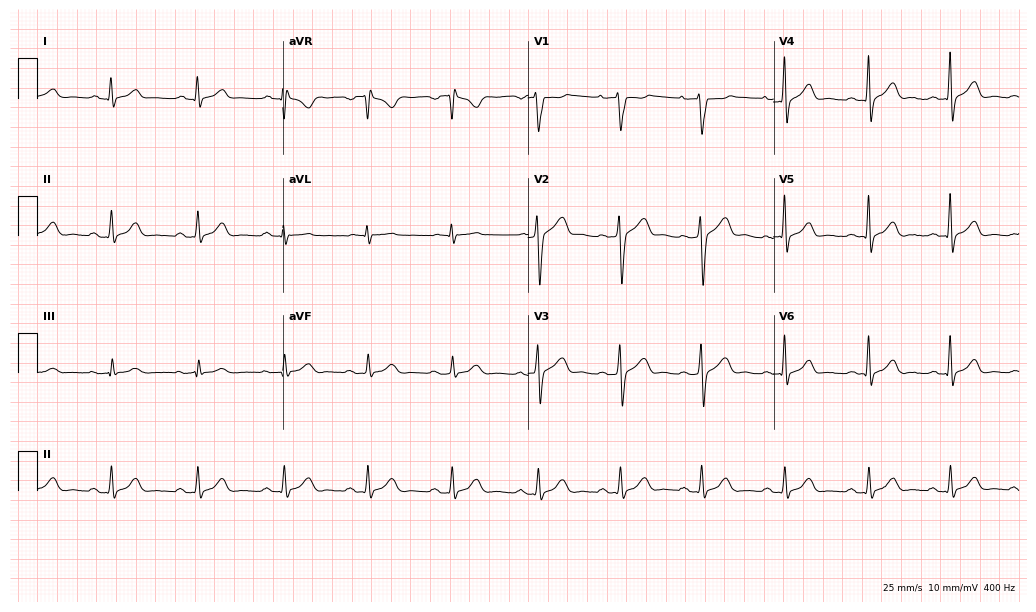
Standard 12-lead ECG recorded from a male patient, 49 years old (10-second recording at 400 Hz). None of these six findings is recorded: first-degree AV block, right bundle branch block, left bundle branch block, sinus bradycardia, atrial fibrillation, sinus tachycardia. Other findings, if any, are not listed.